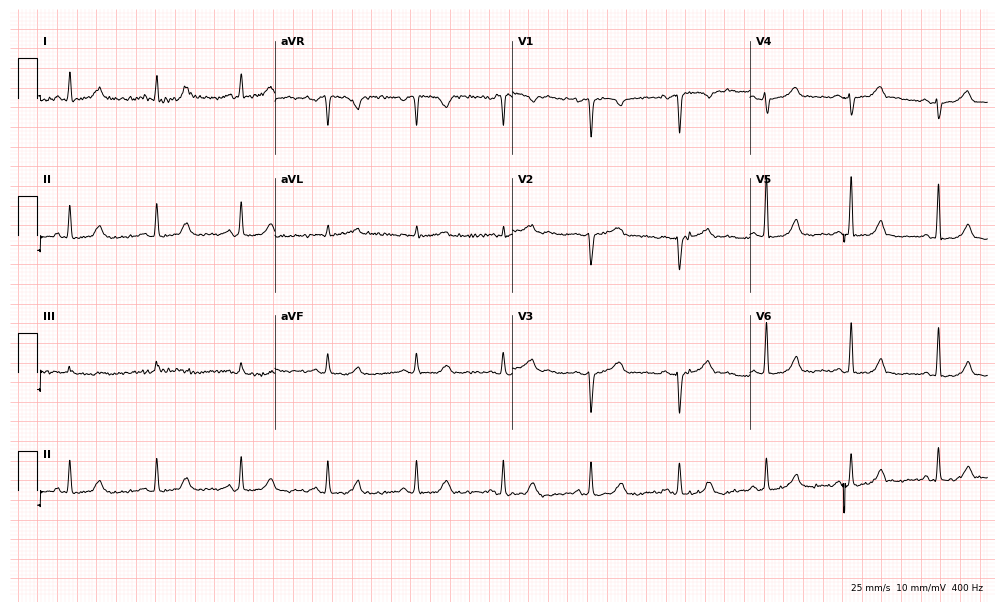
Resting 12-lead electrocardiogram. Patient: a woman, 60 years old. None of these six findings is recorded: first-degree AV block, right bundle branch block (RBBB), left bundle branch block (LBBB), sinus bradycardia, atrial fibrillation (AF), sinus tachycardia. Only these six findings were labelled.